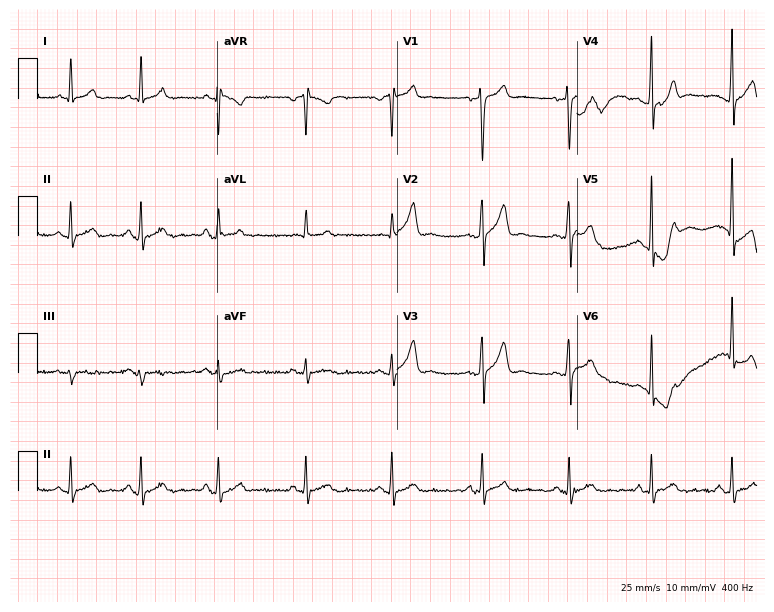
12-lead ECG (7.3-second recording at 400 Hz) from a 37-year-old male patient. Labelled as a normal ECG.